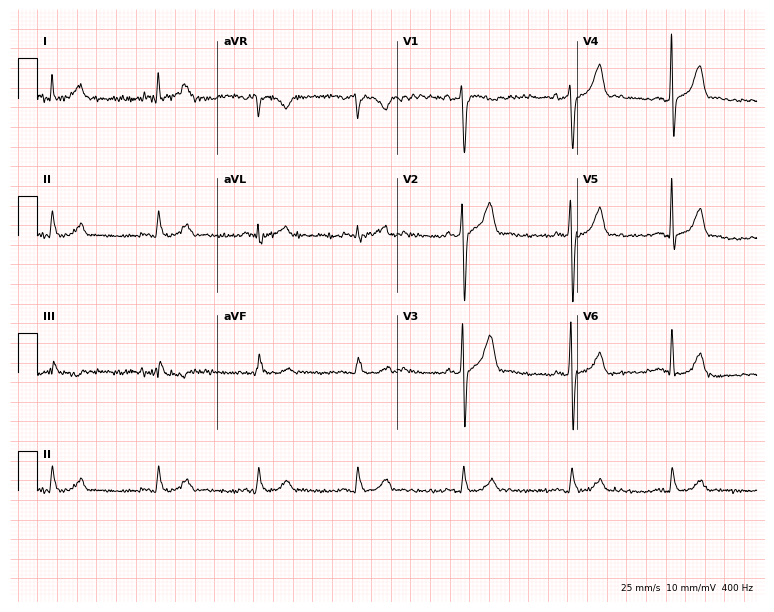
Electrocardiogram (7.3-second recording at 400 Hz), a male, 38 years old. Of the six screened findings (first-degree AV block, right bundle branch block, left bundle branch block, sinus bradycardia, atrial fibrillation, sinus tachycardia), none is recorded. Only these six findings were labelled.